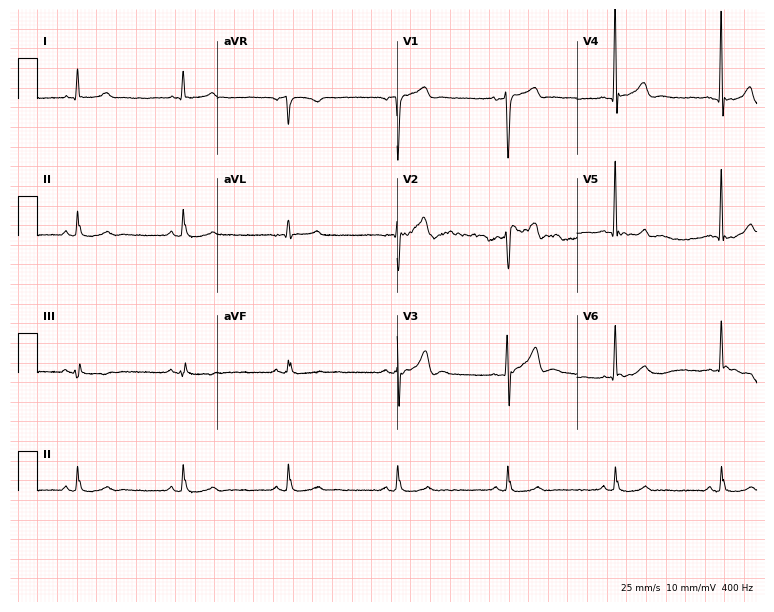
Standard 12-lead ECG recorded from a 56-year-old male. Read as a normal ECG.